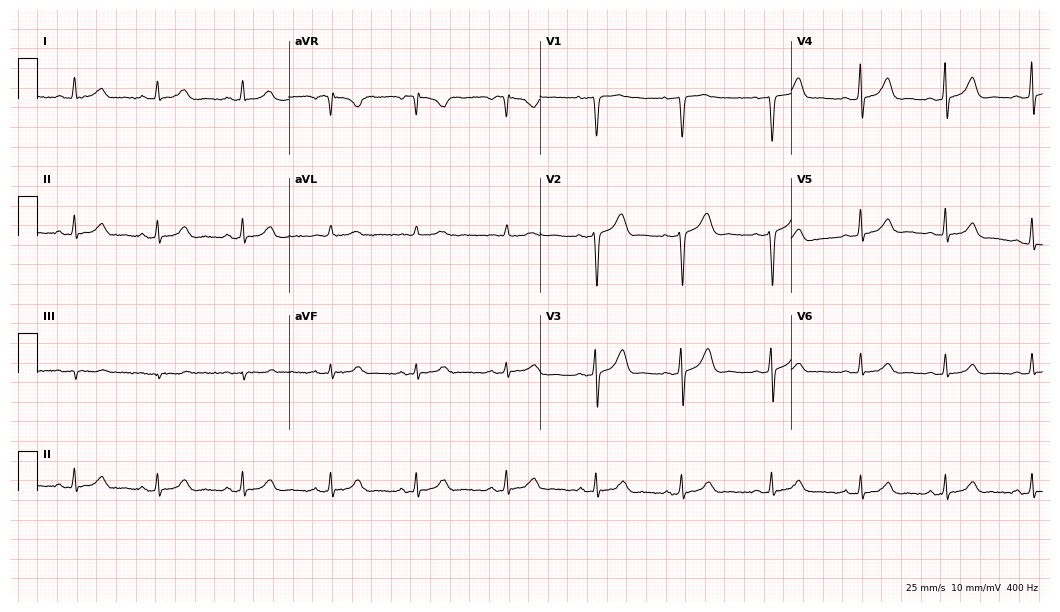
12-lead ECG from a female, 55 years old. No first-degree AV block, right bundle branch block (RBBB), left bundle branch block (LBBB), sinus bradycardia, atrial fibrillation (AF) or sinus tachycardia recorded for this tracing. Only these six findings were labelled.